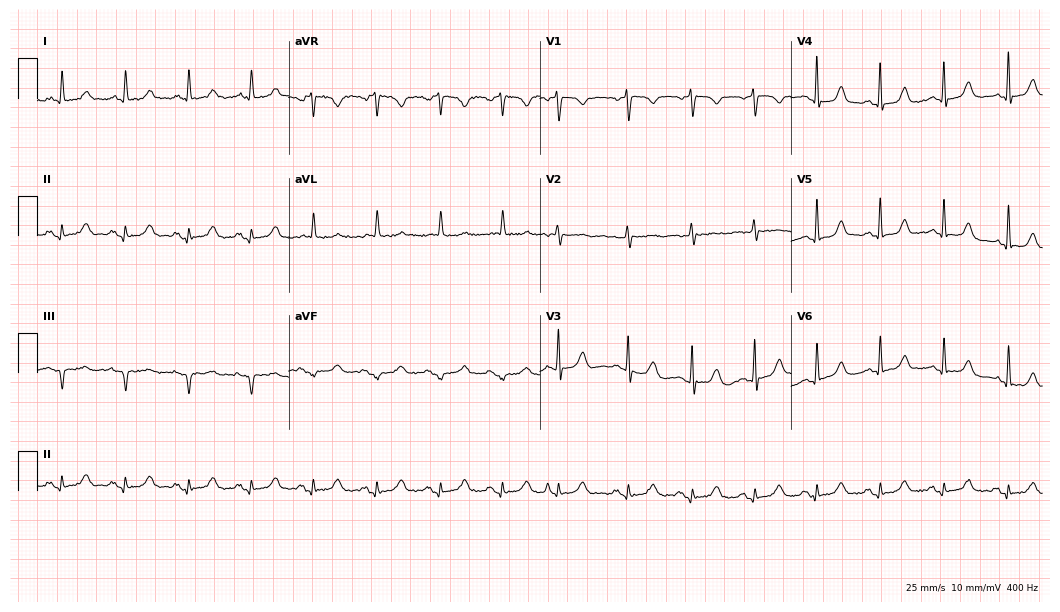
Resting 12-lead electrocardiogram. Patient: a woman, 76 years old. None of these six findings is recorded: first-degree AV block, right bundle branch block, left bundle branch block, sinus bradycardia, atrial fibrillation, sinus tachycardia.